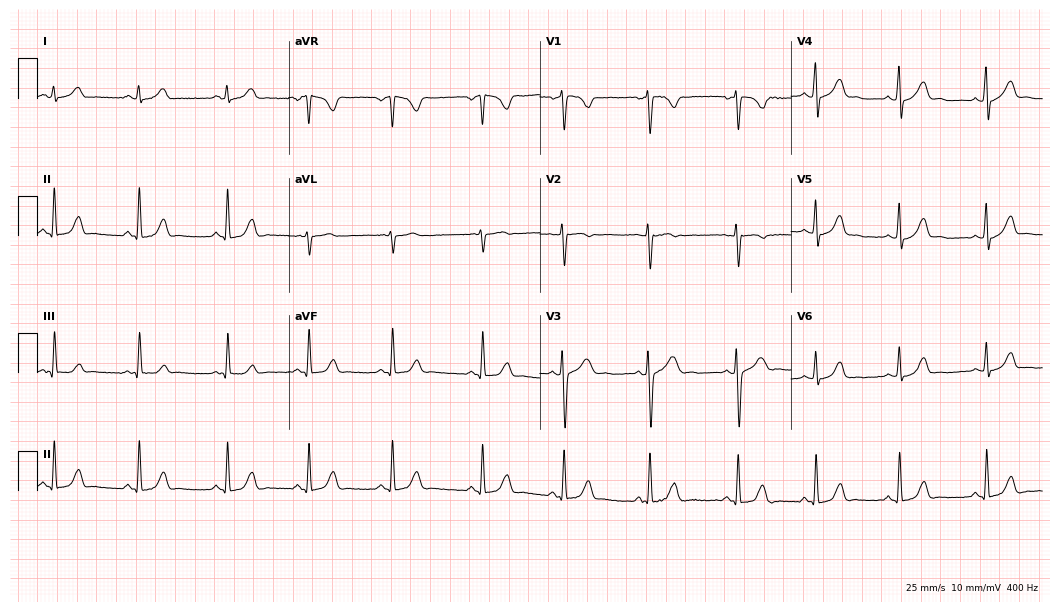
Resting 12-lead electrocardiogram (10.2-second recording at 400 Hz). Patient: a 20-year-old female. None of these six findings is recorded: first-degree AV block, right bundle branch block, left bundle branch block, sinus bradycardia, atrial fibrillation, sinus tachycardia. Other findings, if any, are not listed.